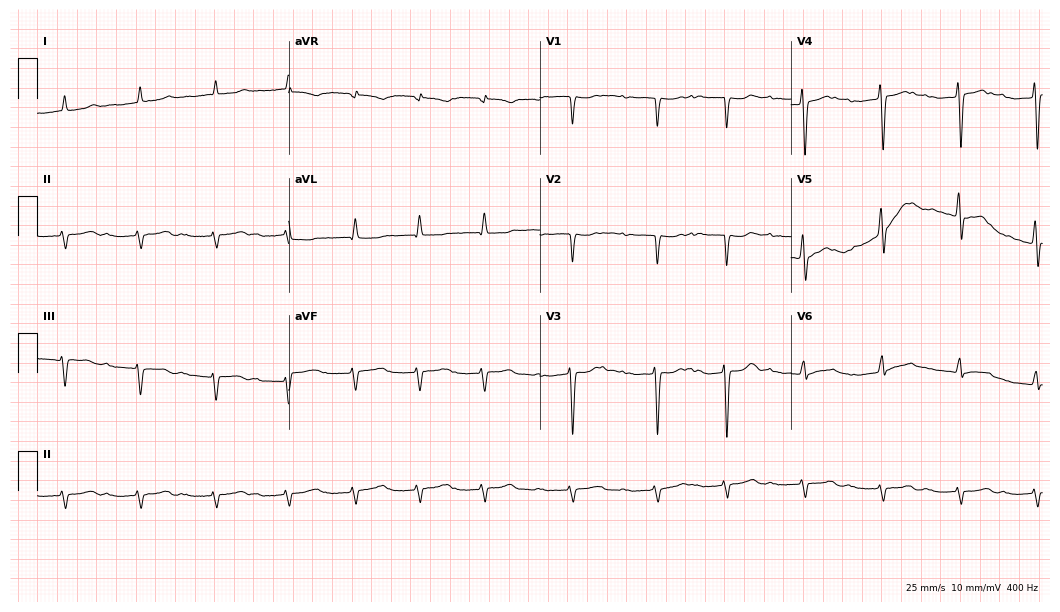
Standard 12-lead ECG recorded from a 69-year-old woman. The tracing shows first-degree AV block.